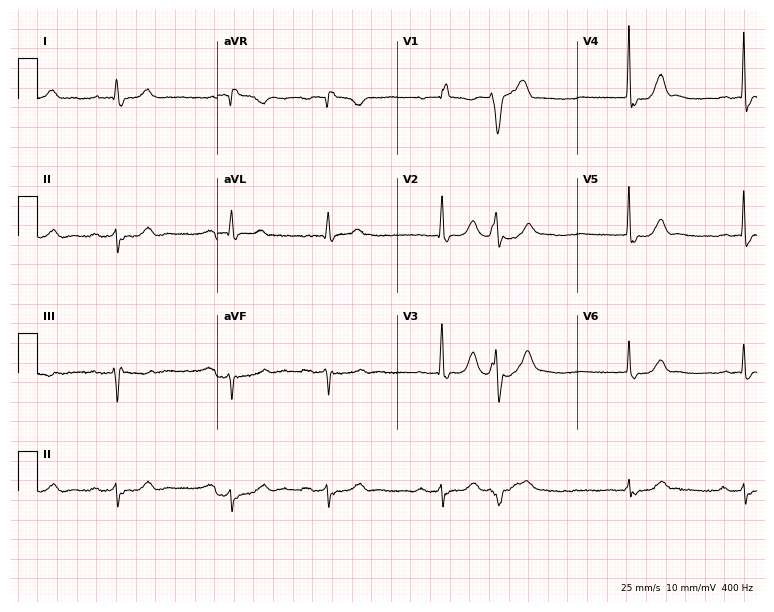
Resting 12-lead electrocardiogram (7.3-second recording at 400 Hz). Patient: a female, 74 years old. The tracing shows first-degree AV block.